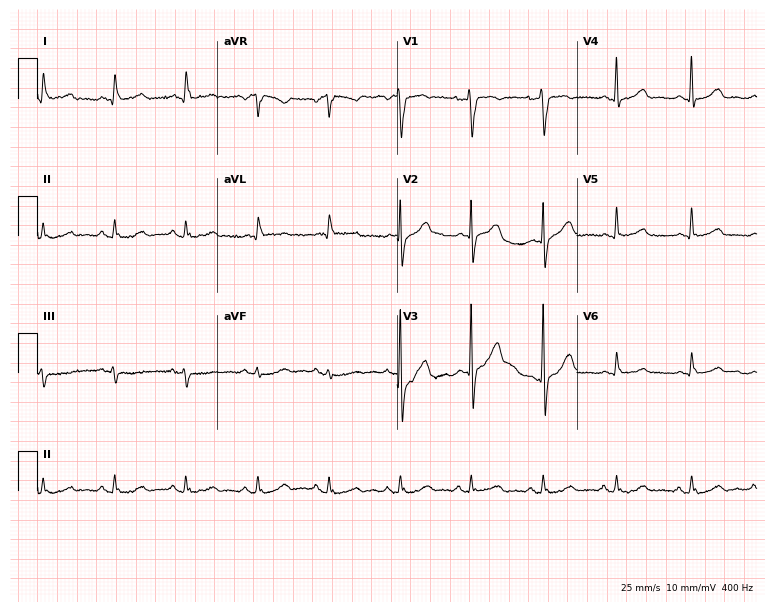
ECG — a 74-year-old female. Screened for six findings — first-degree AV block, right bundle branch block (RBBB), left bundle branch block (LBBB), sinus bradycardia, atrial fibrillation (AF), sinus tachycardia — none is recorded. Only these six findings were labelled.